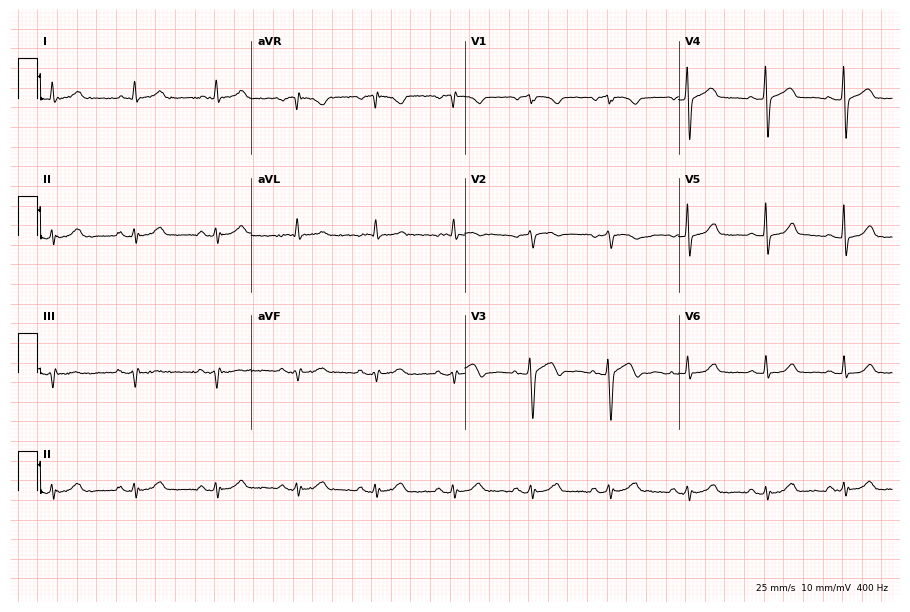
12-lead ECG from a female patient, 63 years old (8.7-second recording at 400 Hz). No first-degree AV block, right bundle branch block, left bundle branch block, sinus bradycardia, atrial fibrillation or sinus tachycardia recorded for this tracing.